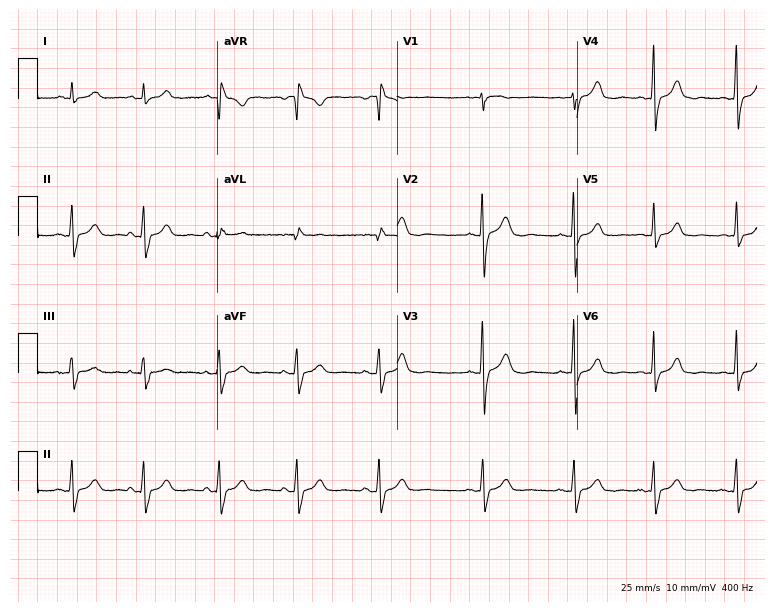
12-lead ECG from a 19-year-old female patient (7.3-second recording at 400 Hz). Recorded interpretation: within normal limits.